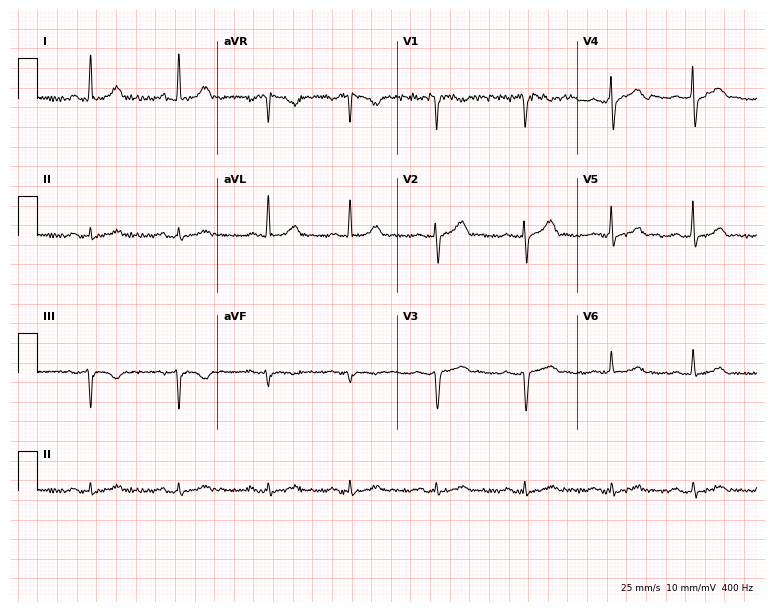
Resting 12-lead electrocardiogram. Patient: a male, 61 years old. Read as a normal ECG.